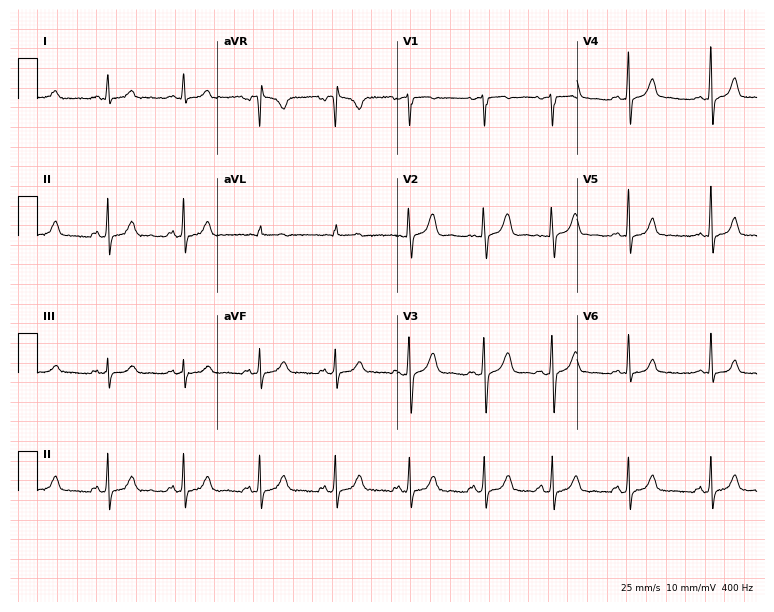
Standard 12-lead ECG recorded from a female, 23 years old (7.3-second recording at 400 Hz). Read as a normal ECG.